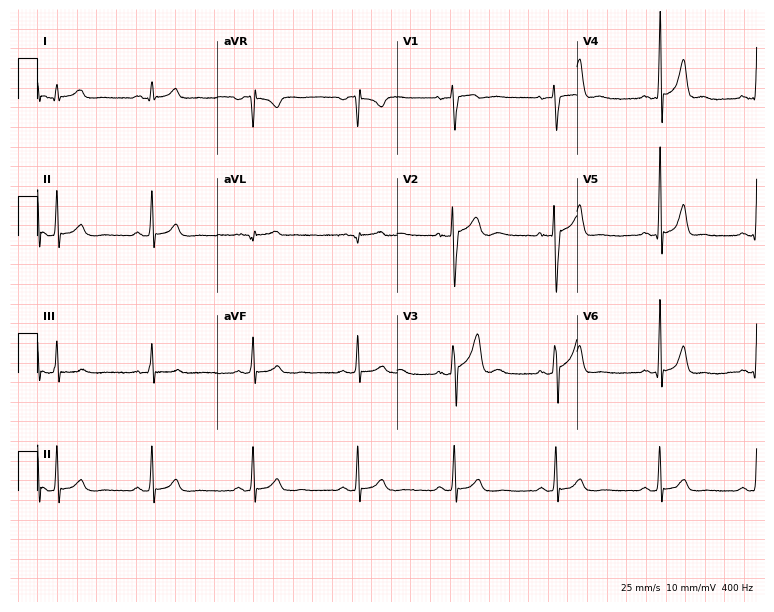
12-lead ECG from a male, 23 years old (7.3-second recording at 400 Hz). No first-degree AV block, right bundle branch block, left bundle branch block, sinus bradycardia, atrial fibrillation or sinus tachycardia recorded for this tracing.